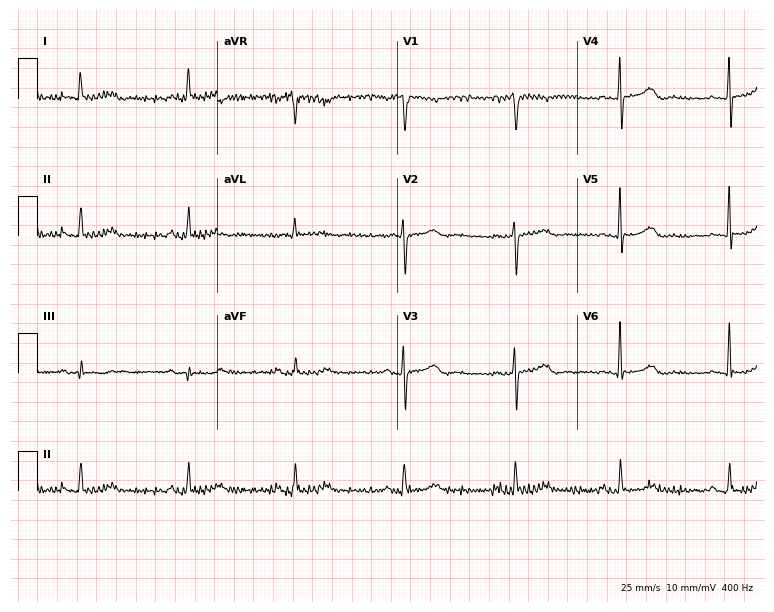
Resting 12-lead electrocardiogram. Patient: an 81-year-old female. Read as a normal ECG.